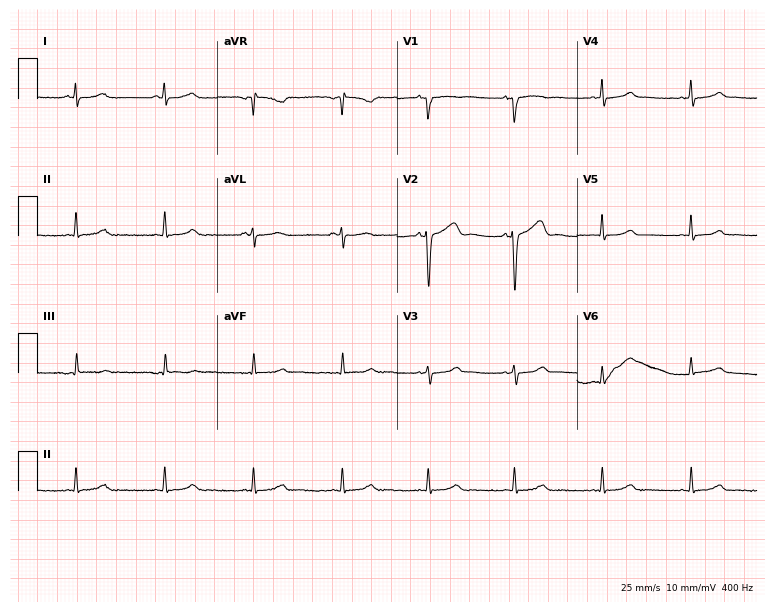
12-lead ECG from a 38-year-old woman. Recorded interpretation: within normal limits.